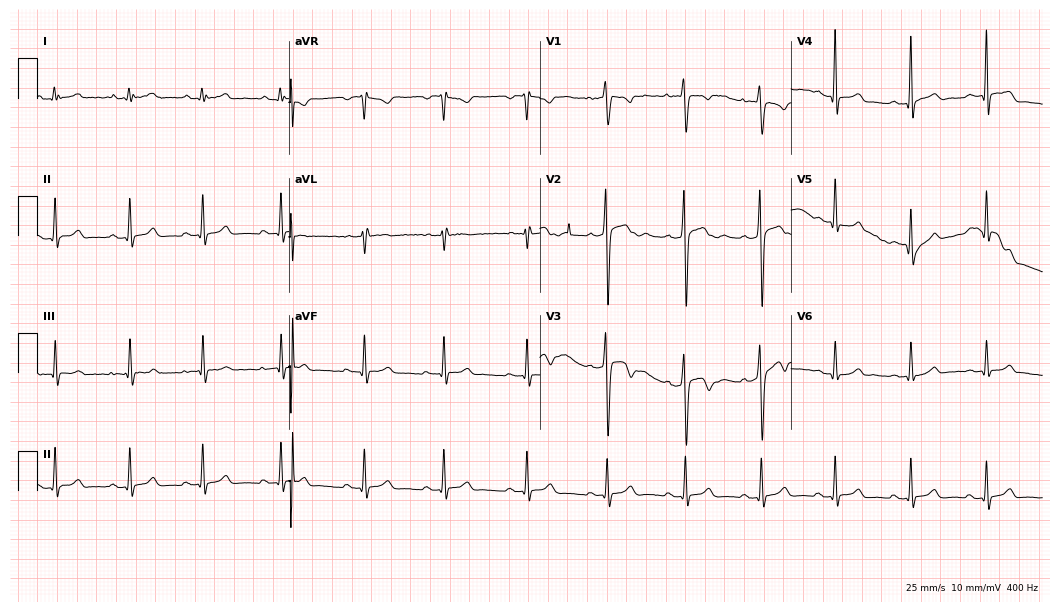
12-lead ECG from a 21-year-old male patient (10.2-second recording at 400 Hz). Recorded interpretation: within normal limits.